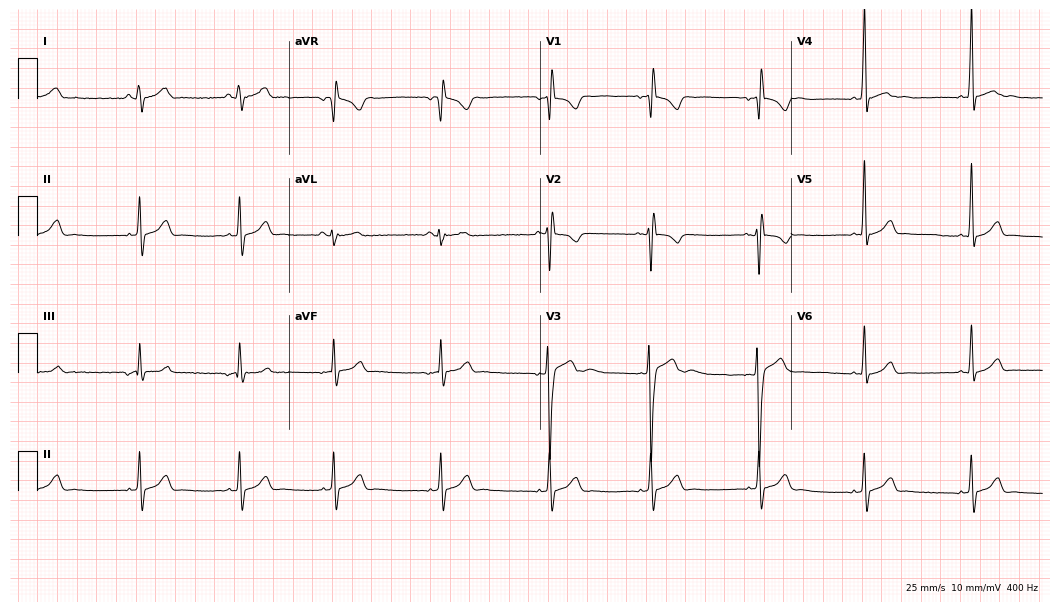
Standard 12-lead ECG recorded from a 17-year-old man (10.2-second recording at 400 Hz). Read as a normal ECG.